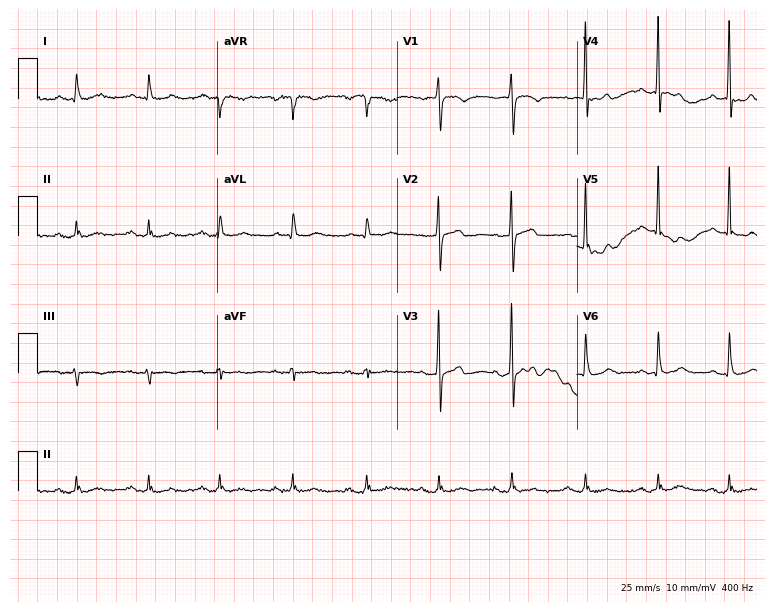
12-lead ECG (7.3-second recording at 400 Hz) from an 82-year-old male. Screened for six findings — first-degree AV block, right bundle branch block, left bundle branch block, sinus bradycardia, atrial fibrillation, sinus tachycardia — none is recorded. Findings outside these six are not listed.